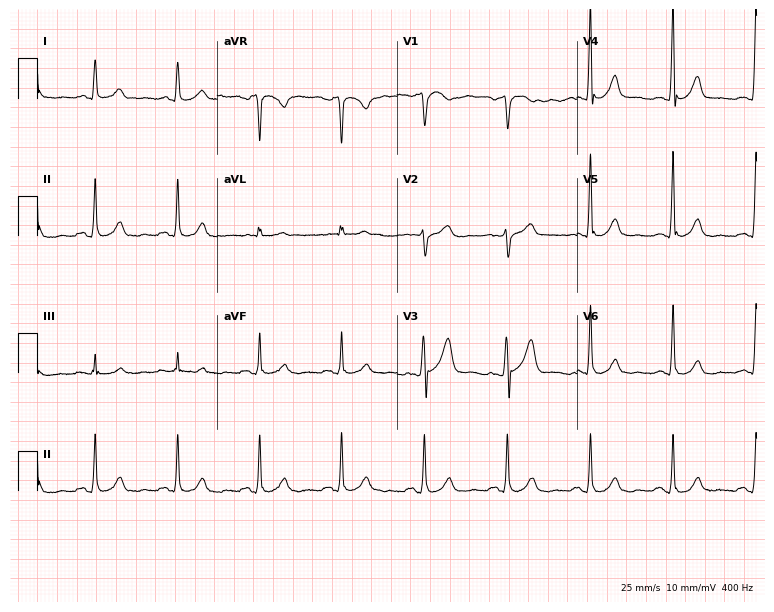
Standard 12-lead ECG recorded from a 48-year-old male patient. None of these six findings is recorded: first-degree AV block, right bundle branch block, left bundle branch block, sinus bradycardia, atrial fibrillation, sinus tachycardia. Only these six findings were labelled.